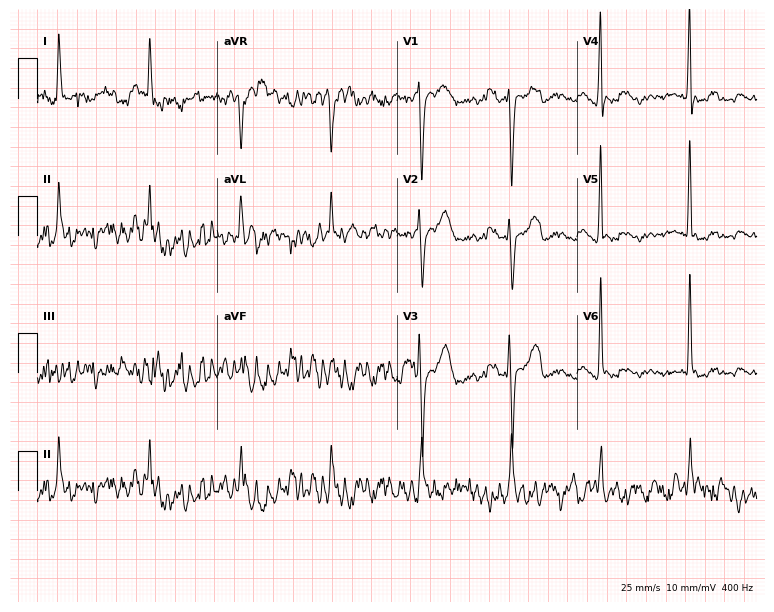
Standard 12-lead ECG recorded from a 56-year-old man. None of these six findings is recorded: first-degree AV block, right bundle branch block (RBBB), left bundle branch block (LBBB), sinus bradycardia, atrial fibrillation (AF), sinus tachycardia. Other findings, if any, are not listed.